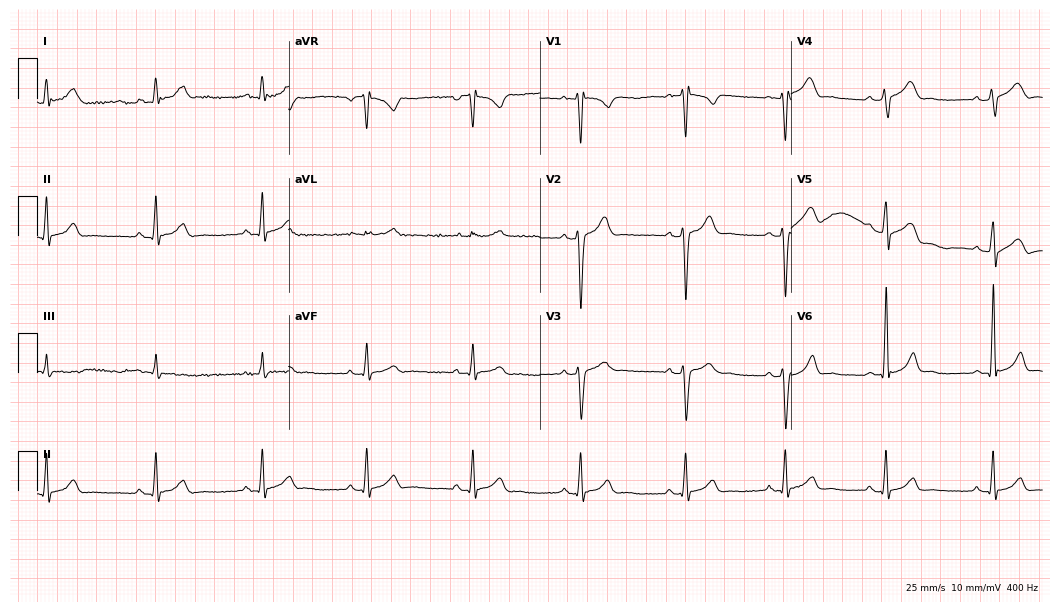
12-lead ECG from a male patient, 31 years old (10.2-second recording at 400 Hz). Recorded interpretation: within normal limits.